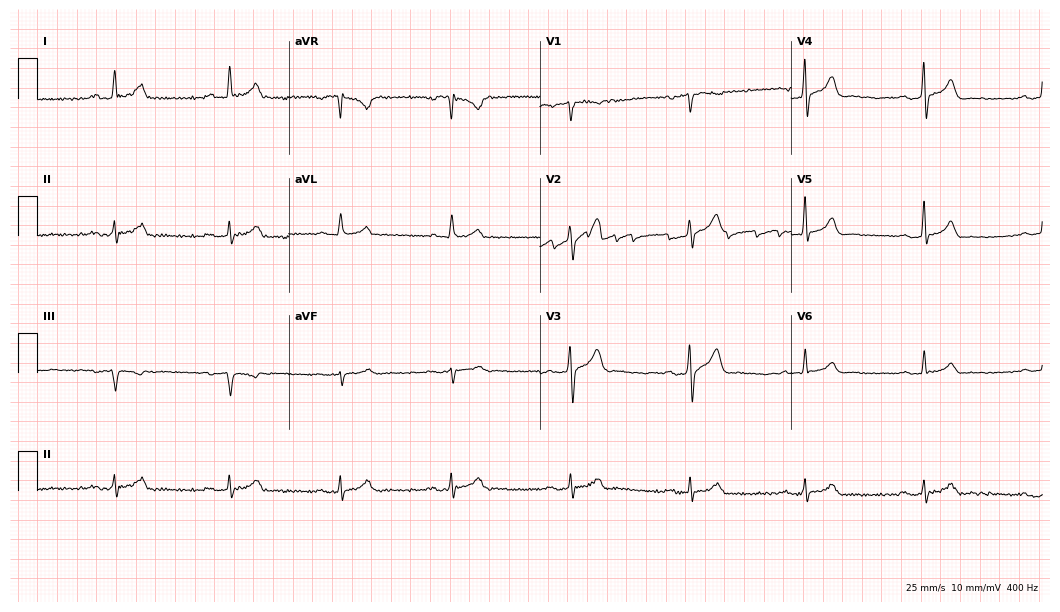
Resting 12-lead electrocardiogram (10.2-second recording at 400 Hz). Patient: a 60-year-old man. Read as a normal ECG.